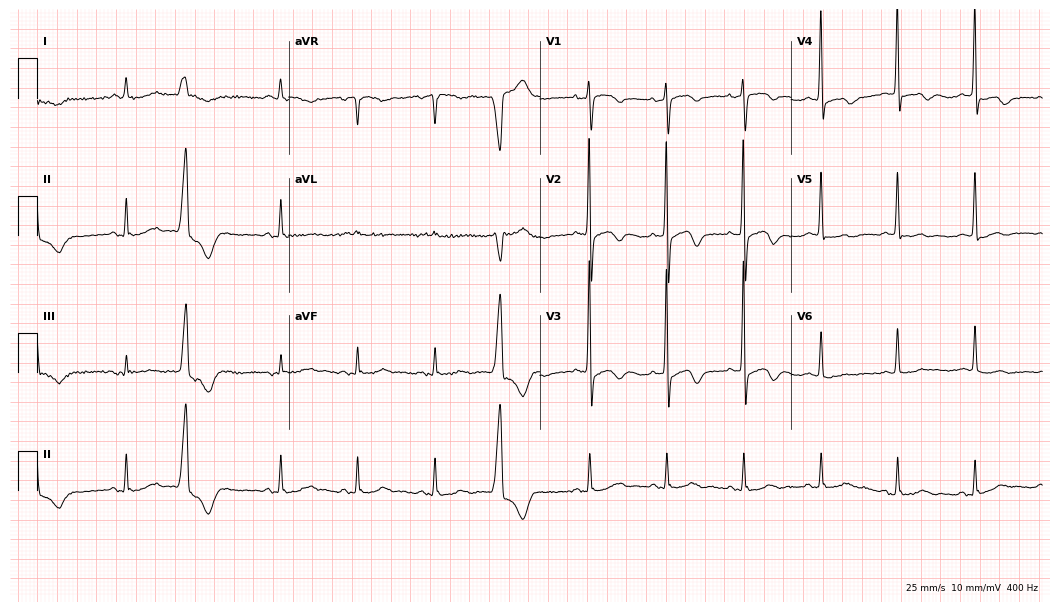
ECG (10.2-second recording at 400 Hz) — an 83-year-old female patient. Screened for six findings — first-degree AV block, right bundle branch block, left bundle branch block, sinus bradycardia, atrial fibrillation, sinus tachycardia — none is recorded.